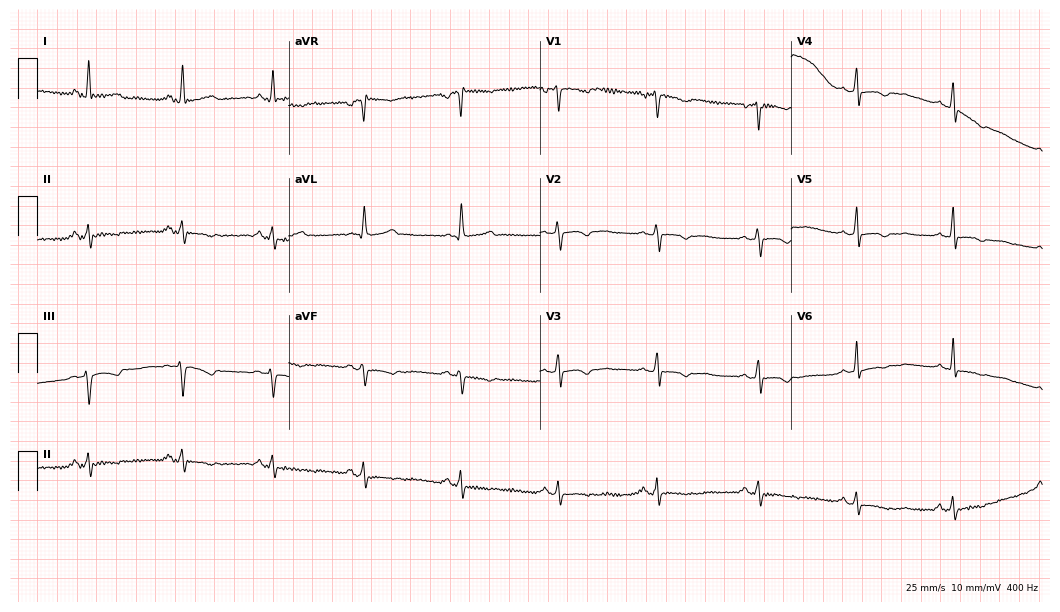
Electrocardiogram, a female patient, 40 years old. Of the six screened findings (first-degree AV block, right bundle branch block, left bundle branch block, sinus bradycardia, atrial fibrillation, sinus tachycardia), none is recorded.